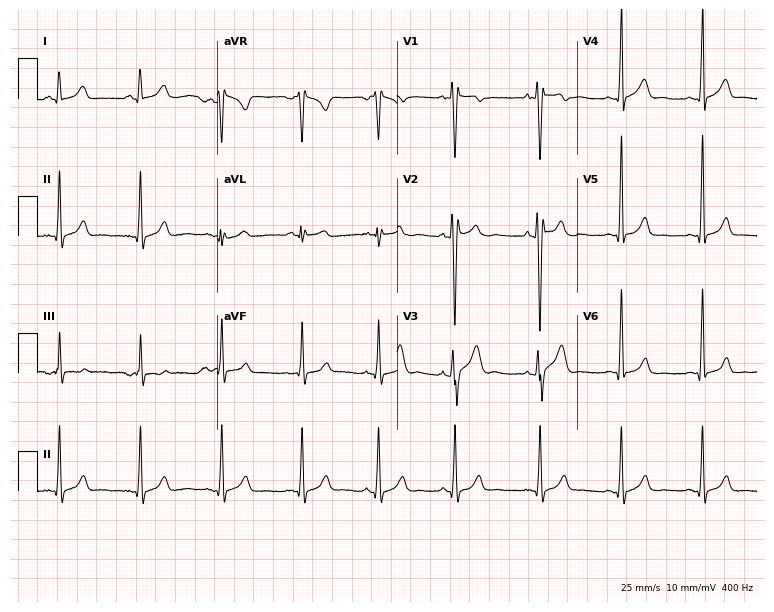
Resting 12-lead electrocardiogram. Patient: a man, 20 years old. None of these six findings is recorded: first-degree AV block, right bundle branch block, left bundle branch block, sinus bradycardia, atrial fibrillation, sinus tachycardia.